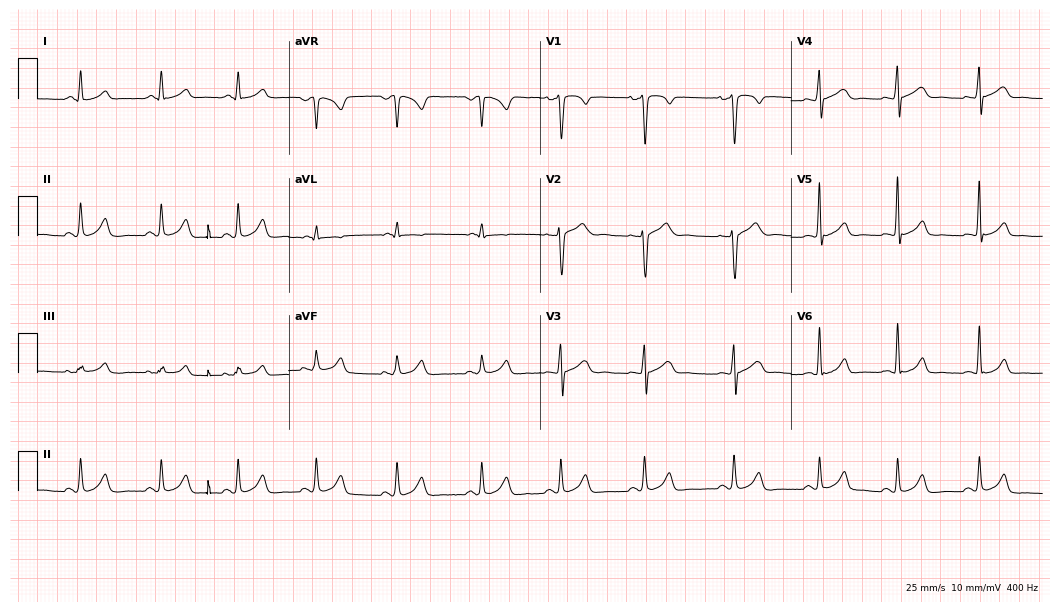
12-lead ECG from a male, 29 years old. Labelled as a normal ECG.